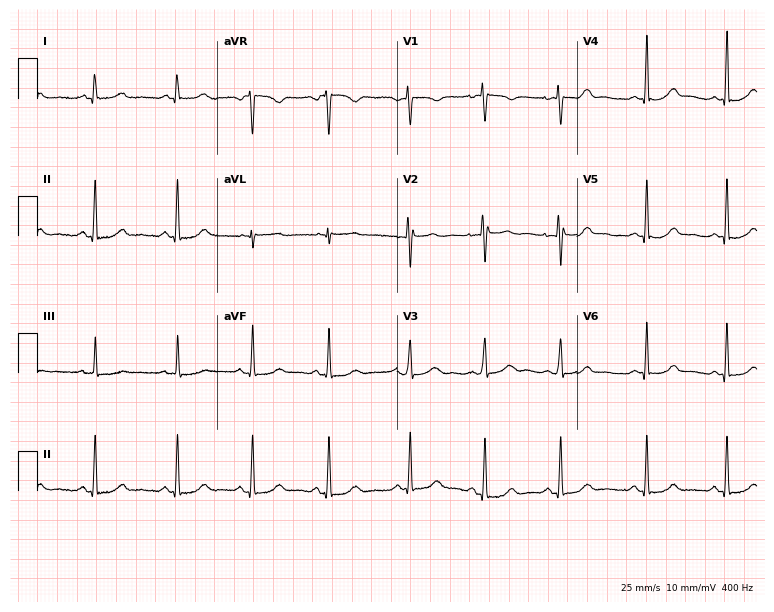
ECG — a female patient, 22 years old. Labelled as a normal ECG.